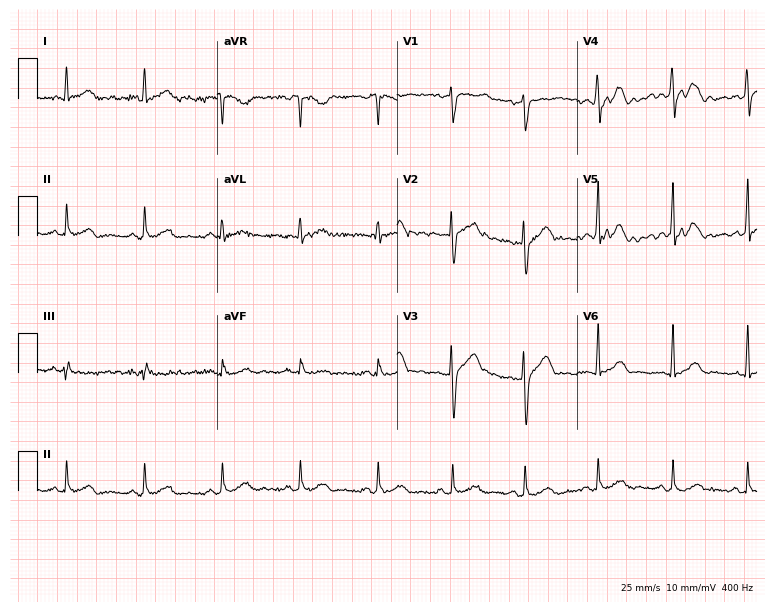
Resting 12-lead electrocardiogram. Patient: a 28-year-old male. Read as a normal ECG.